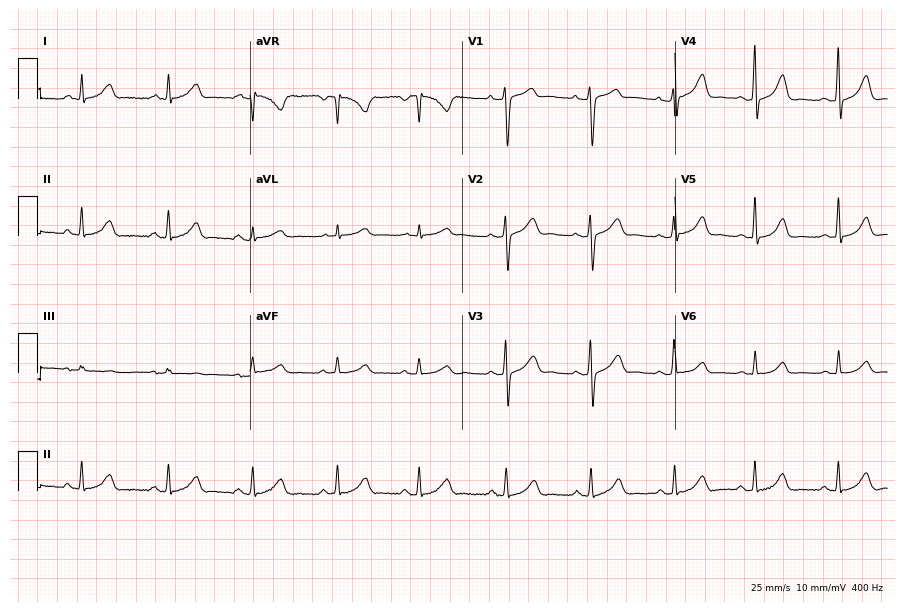
Standard 12-lead ECG recorded from a female, 42 years old (8.7-second recording at 400 Hz). None of these six findings is recorded: first-degree AV block, right bundle branch block, left bundle branch block, sinus bradycardia, atrial fibrillation, sinus tachycardia. Other findings, if any, are not listed.